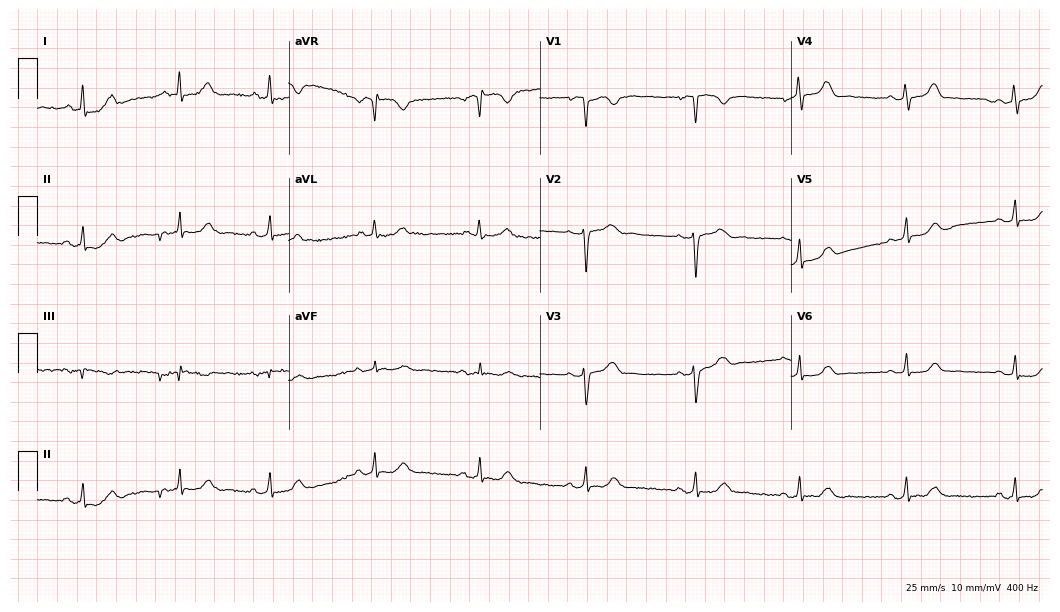
Resting 12-lead electrocardiogram (10.2-second recording at 400 Hz). Patient: a 42-year-old female. Read as a normal ECG.